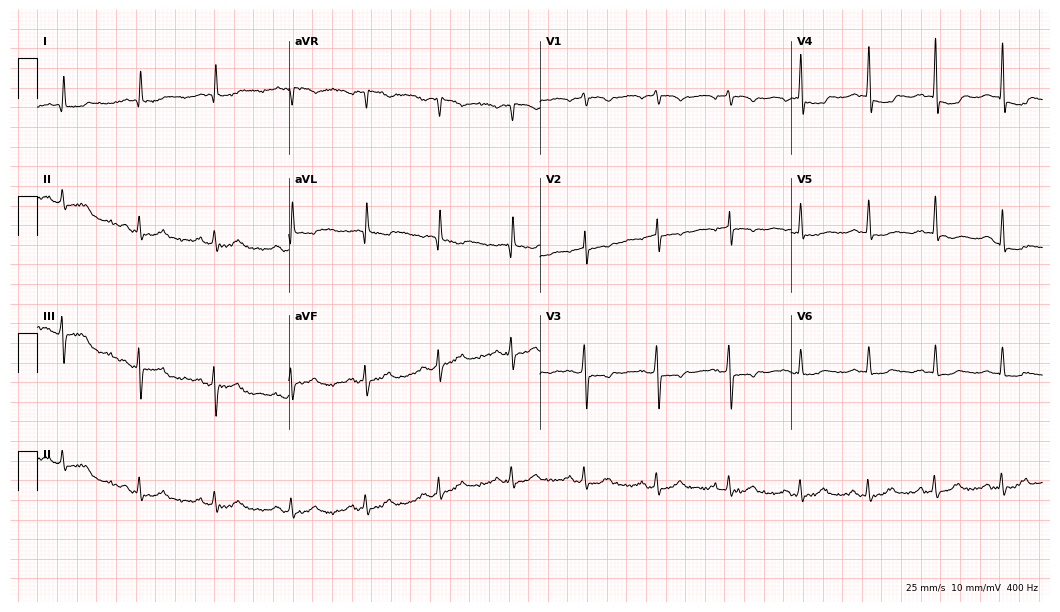
12-lead ECG from a female, 72 years old (10.2-second recording at 400 Hz). No first-degree AV block, right bundle branch block (RBBB), left bundle branch block (LBBB), sinus bradycardia, atrial fibrillation (AF) or sinus tachycardia recorded for this tracing.